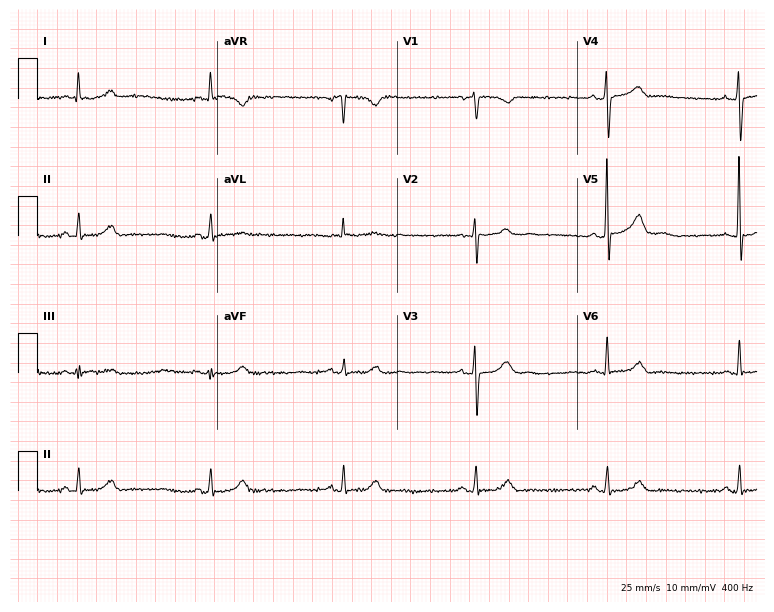
12-lead ECG from an 85-year-old male. Screened for six findings — first-degree AV block, right bundle branch block, left bundle branch block, sinus bradycardia, atrial fibrillation, sinus tachycardia — none is recorded.